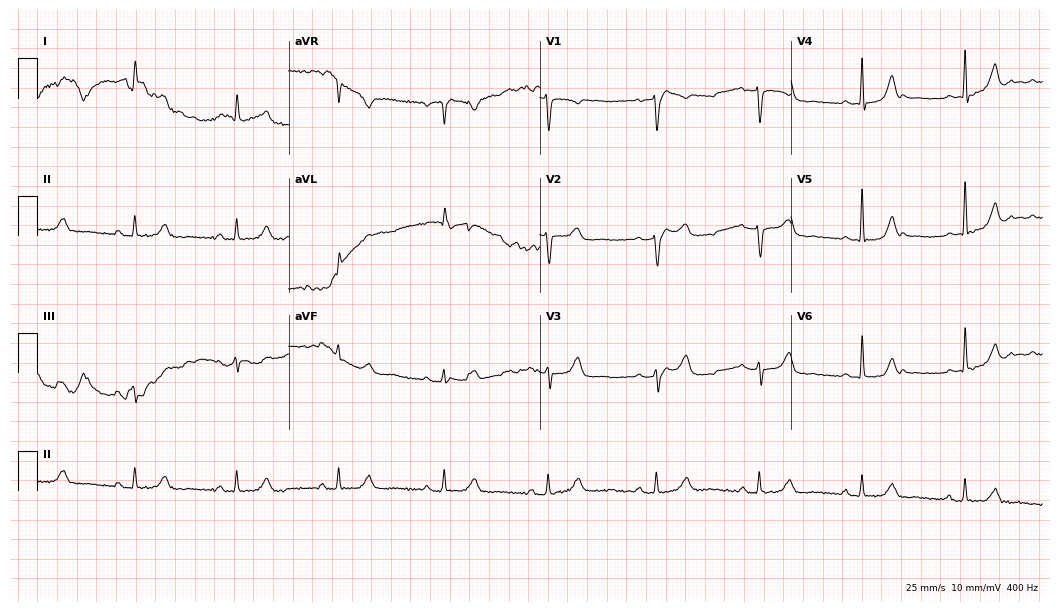
Resting 12-lead electrocardiogram. Patient: a female, 68 years old. None of these six findings is recorded: first-degree AV block, right bundle branch block, left bundle branch block, sinus bradycardia, atrial fibrillation, sinus tachycardia. Only these six findings were labelled.